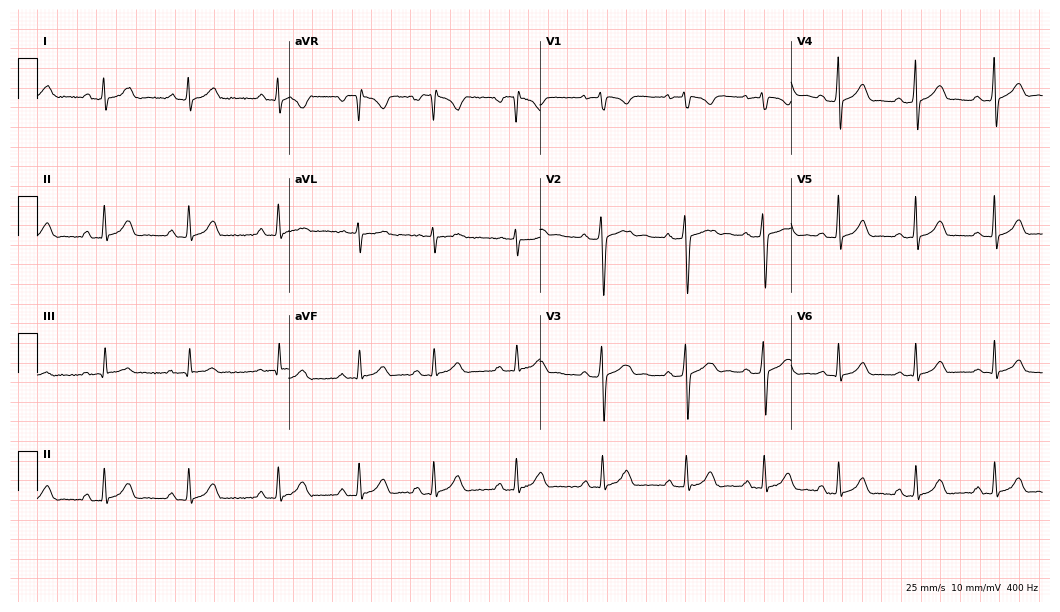
Electrocardiogram, a 20-year-old woman. Of the six screened findings (first-degree AV block, right bundle branch block, left bundle branch block, sinus bradycardia, atrial fibrillation, sinus tachycardia), none is recorded.